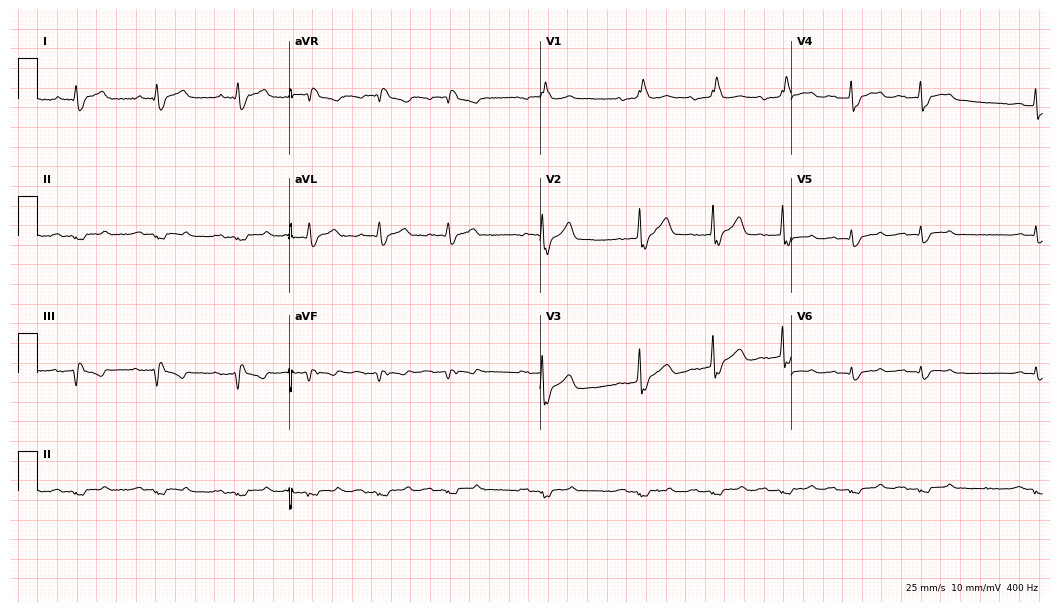
ECG (10.2-second recording at 400 Hz) — an 85-year-old male patient. Findings include right bundle branch block (RBBB).